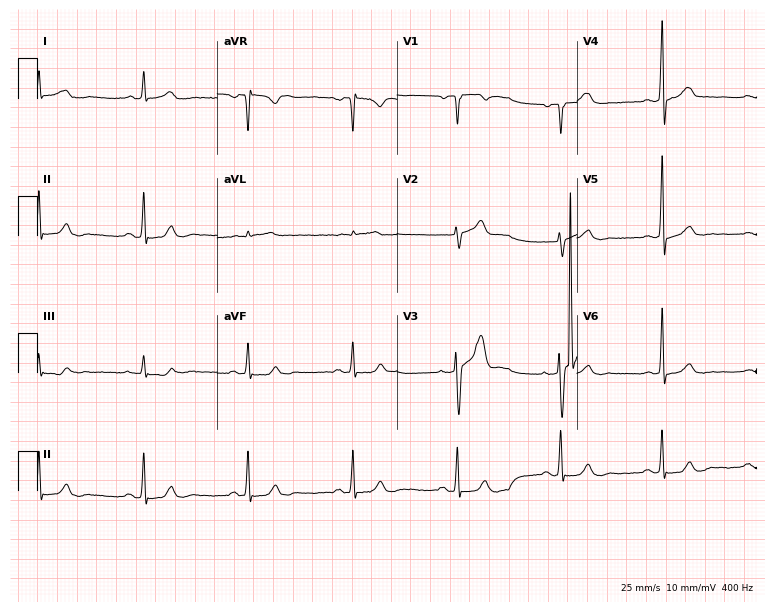
ECG — a 63-year-old male patient. Screened for six findings — first-degree AV block, right bundle branch block, left bundle branch block, sinus bradycardia, atrial fibrillation, sinus tachycardia — none is recorded.